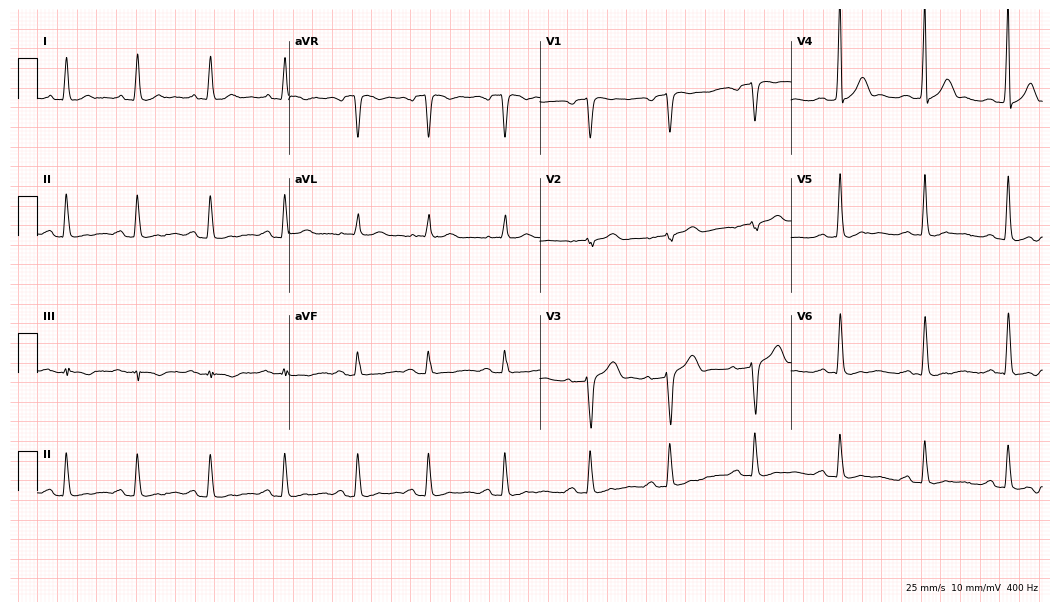
12-lead ECG from a 67-year-old male. Findings include first-degree AV block.